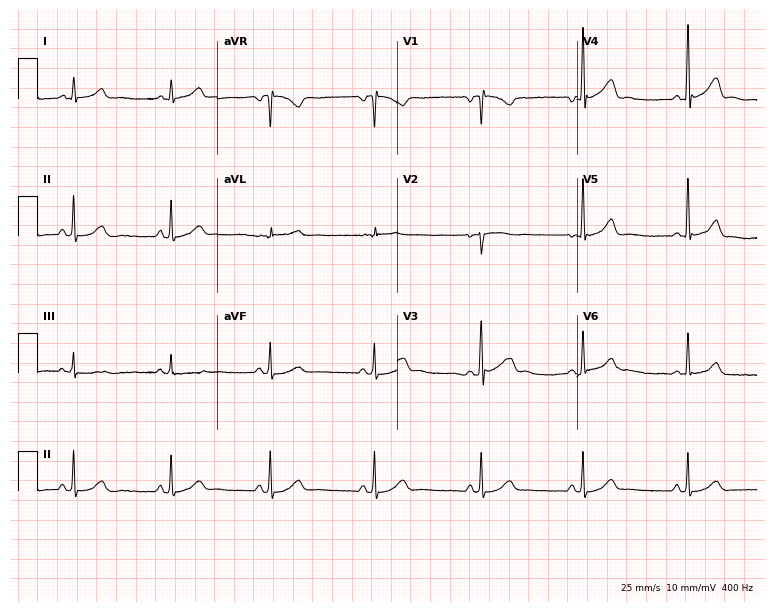
ECG — a 30-year-old female. Labelled as a normal ECG.